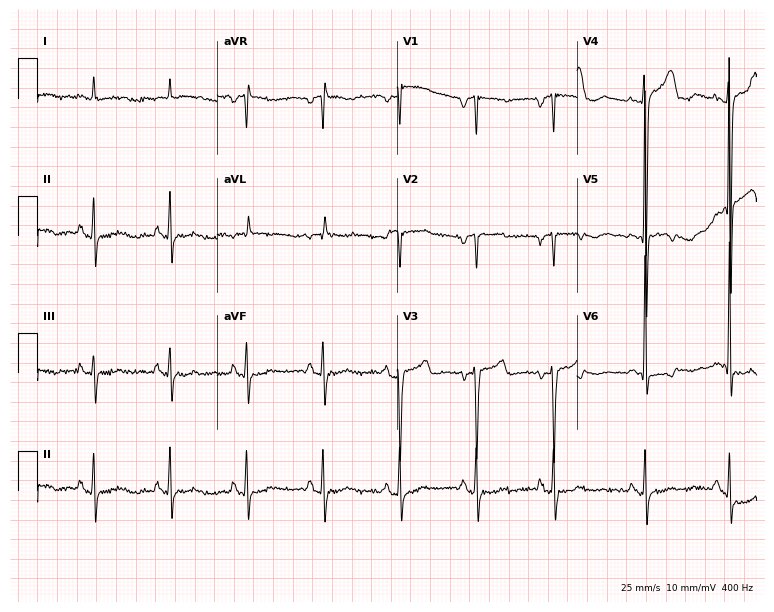
Resting 12-lead electrocardiogram (7.3-second recording at 400 Hz). Patient: a female, 83 years old. None of these six findings is recorded: first-degree AV block, right bundle branch block, left bundle branch block, sinus bradycardia, atrial fibrillation, sinus tachycardia.